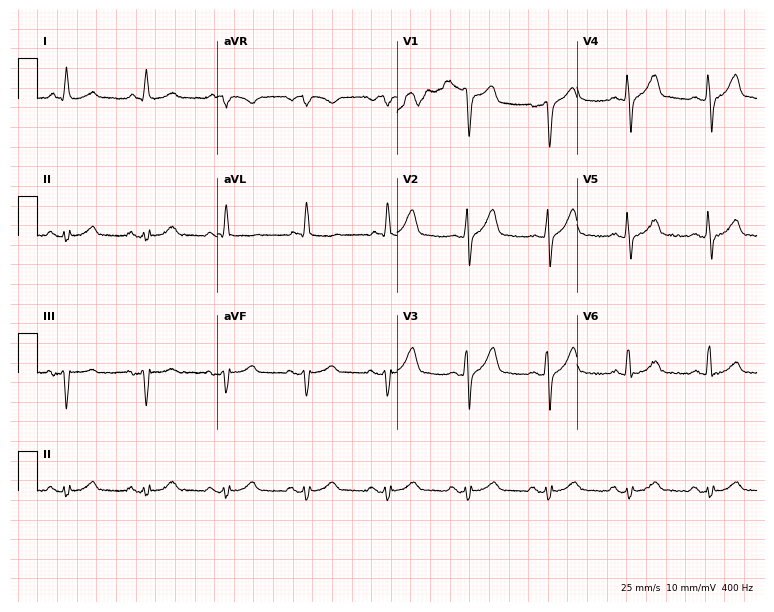
Resting 12-lead electrocardiogram. Patient: a male, 79 years old. None of these six findings is recorded: first-degree AV block, right bundle branch block, left bundle branch block, sinus bradycardia, atrial fibrillation, sinus tachycardia. Other findings, if any, are not listed.